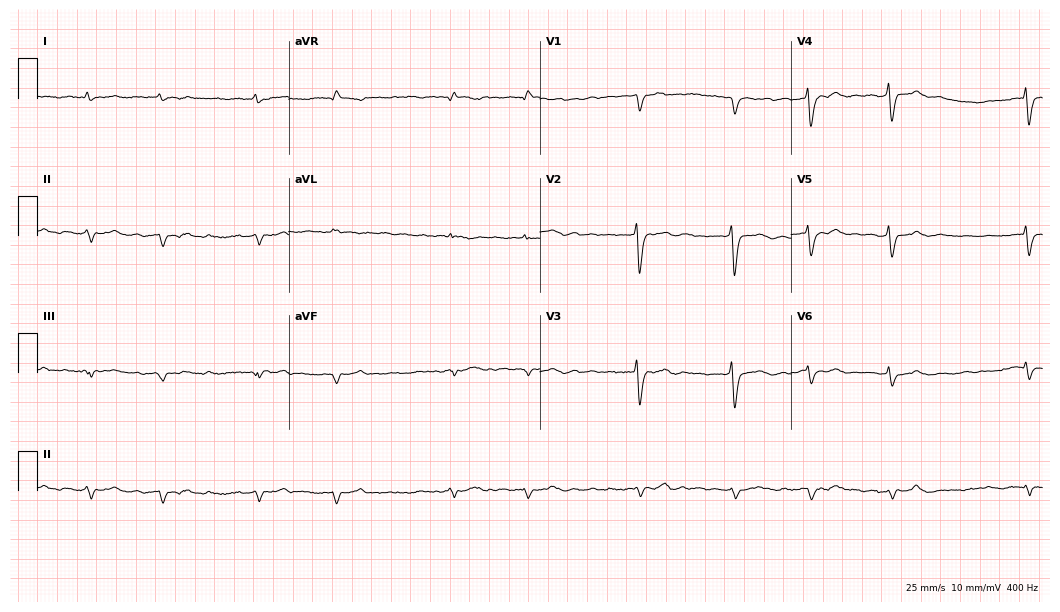
Resting 12-lead electrocardiogram (10.2-second recording at 400 Hz). Patient: a female, 79 years old. The tracing shows atrial fibrillation.